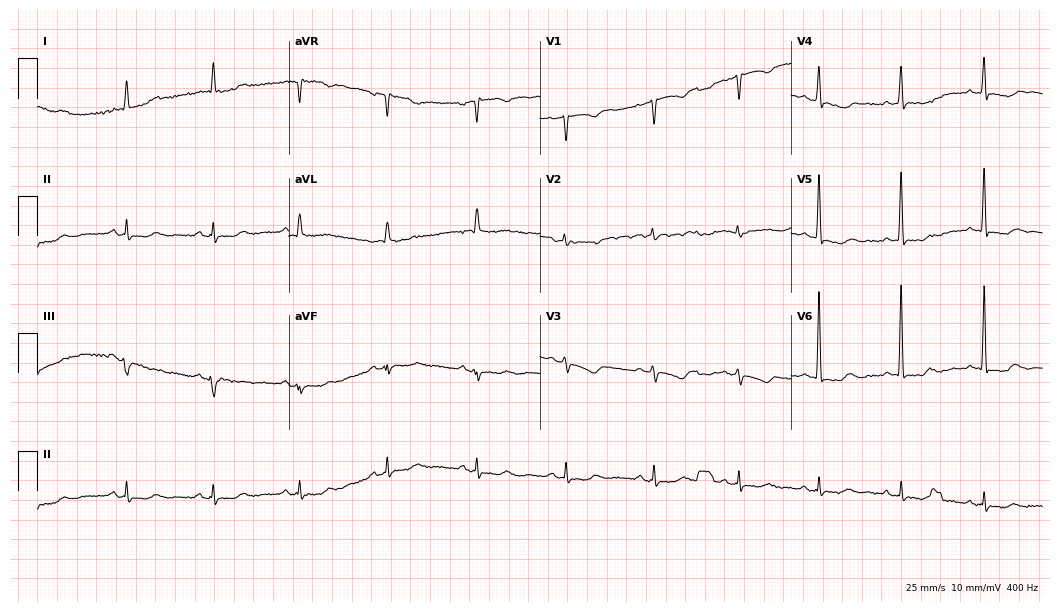
12-lead ECG from a female patient, 73 years old (10.2-second recording at 400 Hz). No first-degree AV block, right bundle branch block, left bundle branch block, sinus bradycardia, atrial fibrillation or sinus tachycardia recorded for this tracing. Other findings, if any, are not listed.